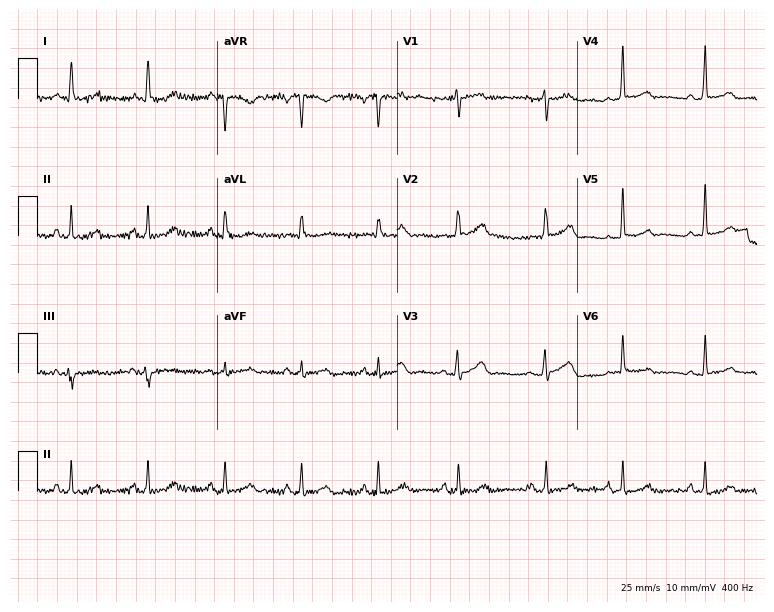
Standard 12-lead ECG recorded from a woman, 56 years old. None of these six findings is recorded: first-degree AV block, right bundle branch block (RBBB), left bundle branch block (LBBB), sinus bradycardia, atrial fibrillation (AF), sinus tachycardia. Only these six findings were labelled.